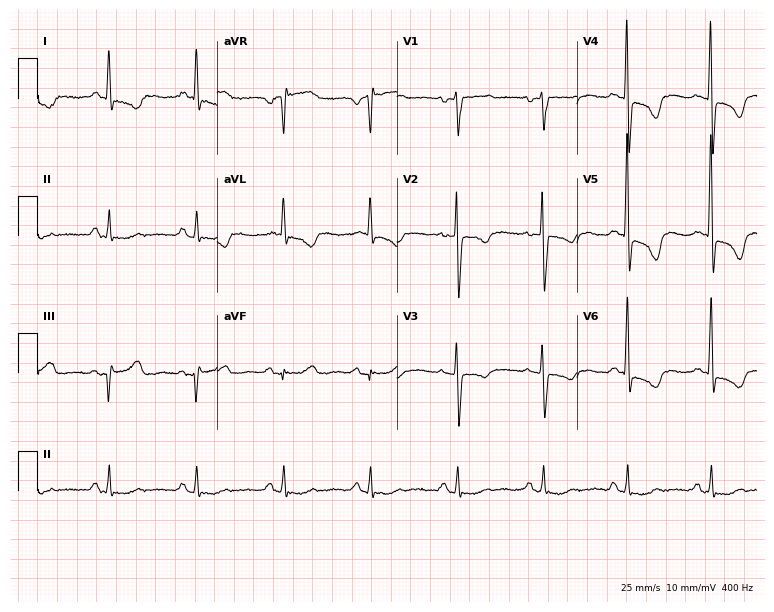
ECG (7.3-second recording at 400 Hz) — a female patient, 67 years old. Screened for six findings — first-degree AV block, right bundle branch block (RBBB), left bundle branch block (LBBB), sinus bradycardia, atrial fibrillation (AF), sinus tachycardia — none is recorded. Other findings, if any, are not listed.